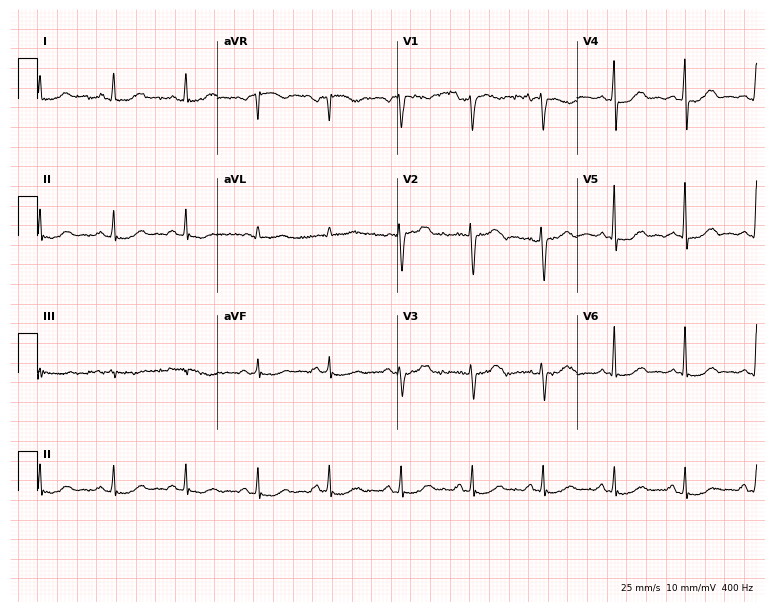
12-lead ECG (7.3-second recording at 400 Hz) from a 44-year-old woman. Screened for six findings — first-degree AV block, right bundle branch block (RBBB), left bundle branch block (LBBB), sinus bradycardia, atrial fibrillation (AF), sinus tachycardia — none is recorded.